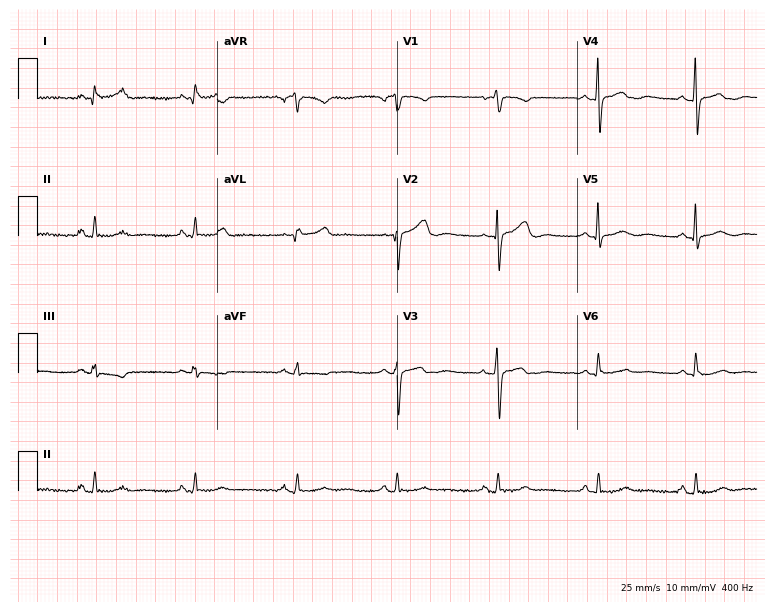
Electrocardiogram, a 72-year-old female. Overall reading on record: normal ECG.